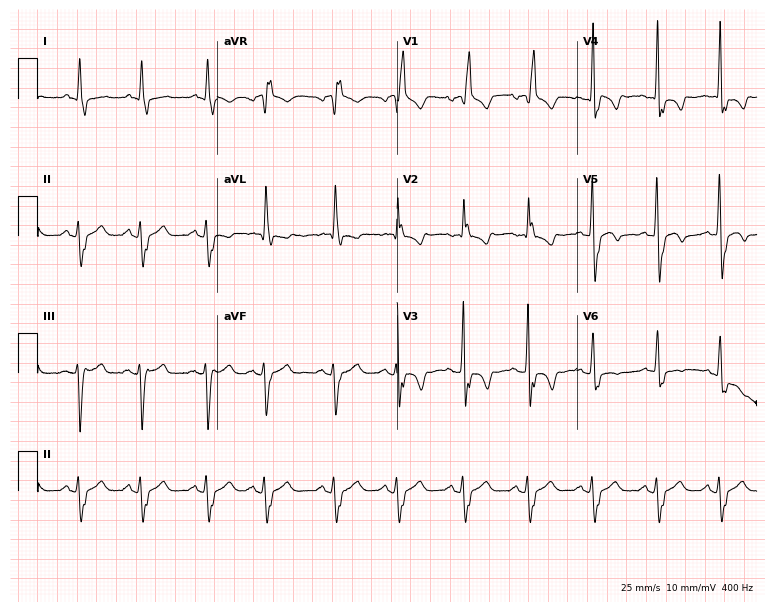
12-lead ECG (7.3-second recording at 400 Hz) from an 82-year-old male patient. Findings include right bundle branch block.